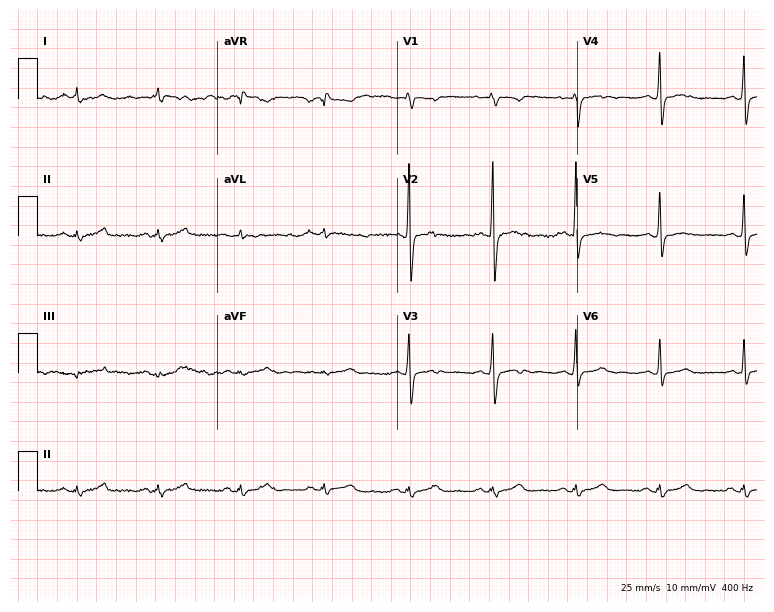
12-lead ECG from a male, 38 years old. No first-degree AV block, right bundle branch block, left bundle branch block, sinus bradycardia, atrial fibrillation or sinus tachycardia recorded for this tracing. Findings outside these six are not listed.